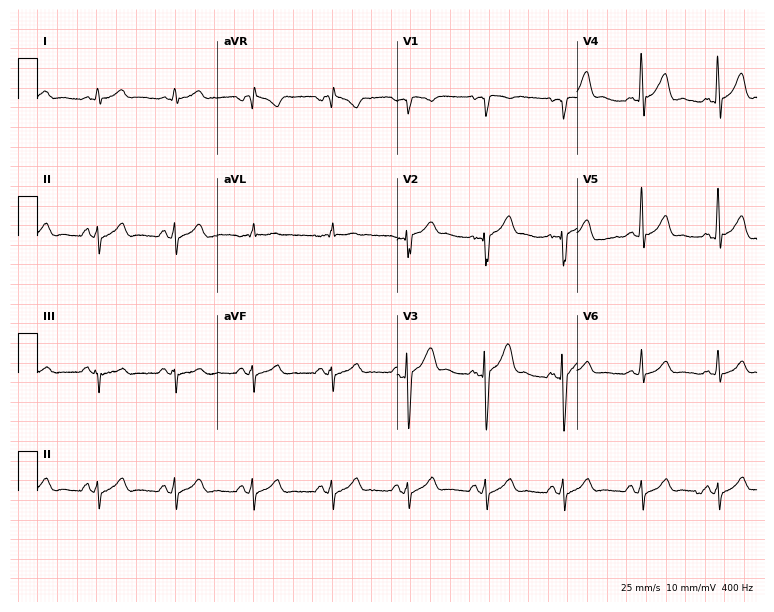
Electrocardiogram, a 53-year-old man. Of the six screened findings (first-degree AV block, right bundle branch block, left bundle branch block, sinus bradycardia, atrial fibrillation, sinus tachycardia), none is recorded.